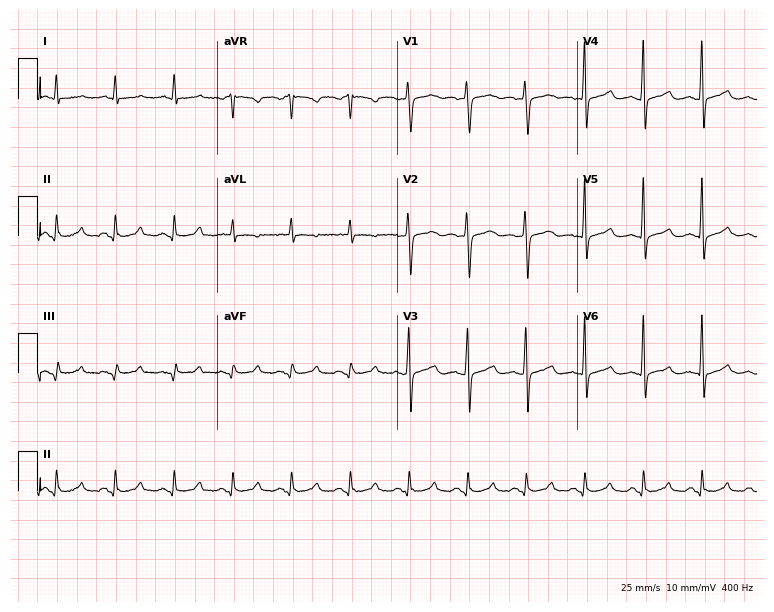
12-lead ECG from a 74-year-old male. No first-degree AV block, right bundle branch block, left bundle branch block, sinus bradycardia, atrial fibrillation or sinus tachycardia recorded for this tracing.